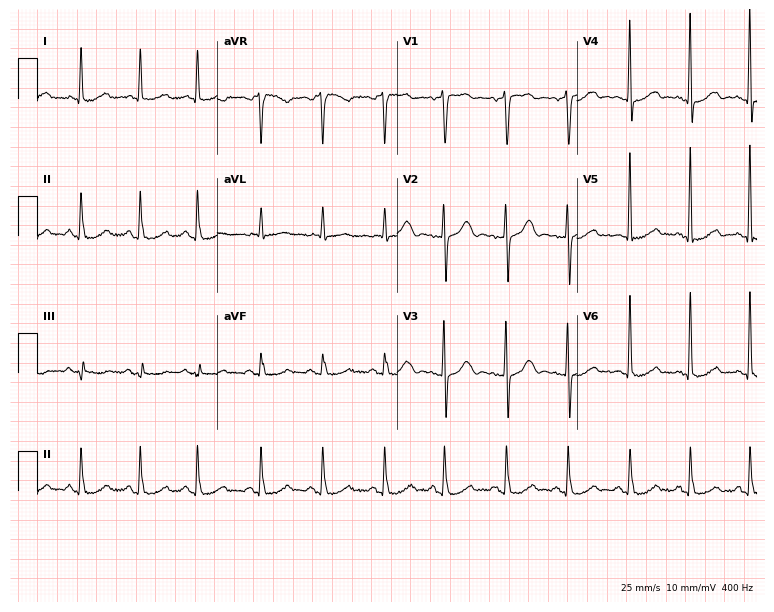
Standard 12-lead ECG recorded from a 73-year-old woman. None of these six findings is recorded: first-degree AV block, right bundle branch block (RBBB), left bundle branch block (LBBB), sinus bradycardia, atrial fibrillation (AF), sinus tachycardia. Other findings, if any, are not listed.